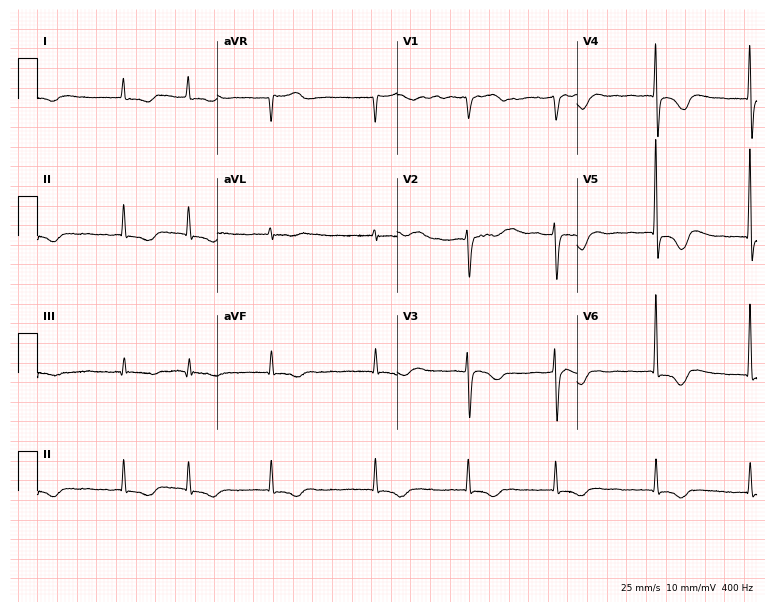
Resting 12-lead electrocardiogram (7.3-second recording at 400 Hz). Patient: an 81-year-old woman. The tracing shows atrial fibrillation.